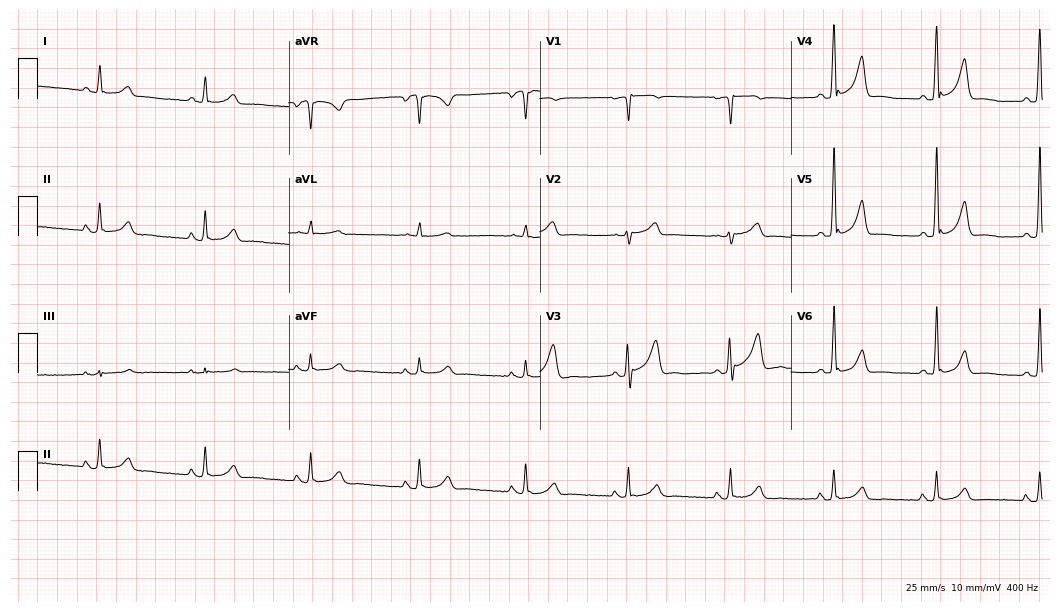
Electrocardiogram, a female patient, 54 years old. Overall reading on record: normal ECG.